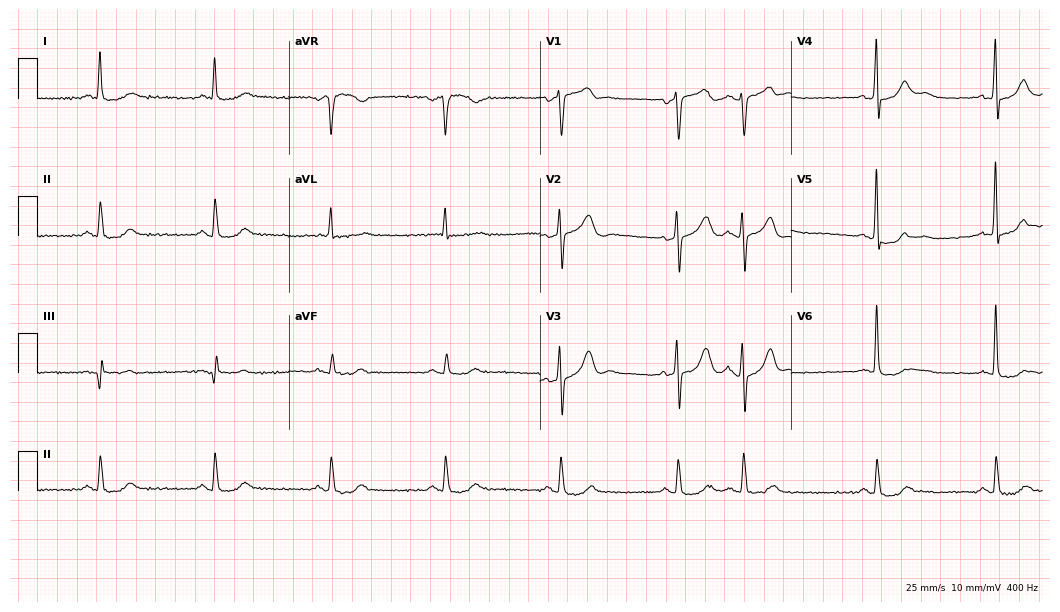
12-lead ECG from a 67-year-old male patient. Labelled as a normal ECG.